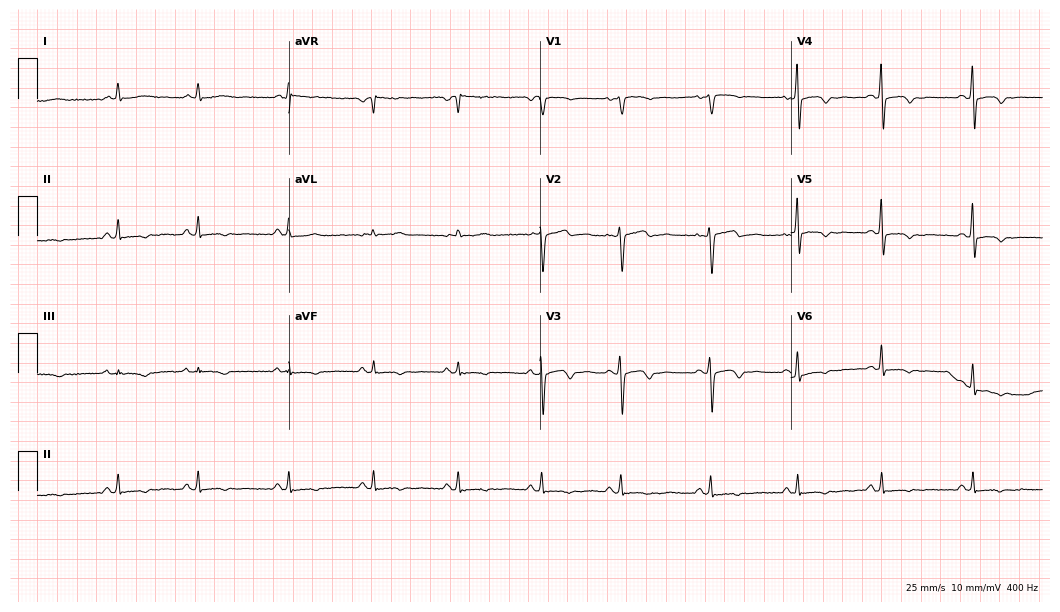
ECG — a 39-year-old female patient. Screened for six findings — first-degree AV block, right bundle branch block (RBBB), left bundle branch block (LBBB), sinus bradycardia, atrial fibrillation (AF), sinus tachycardia — none is recorded.